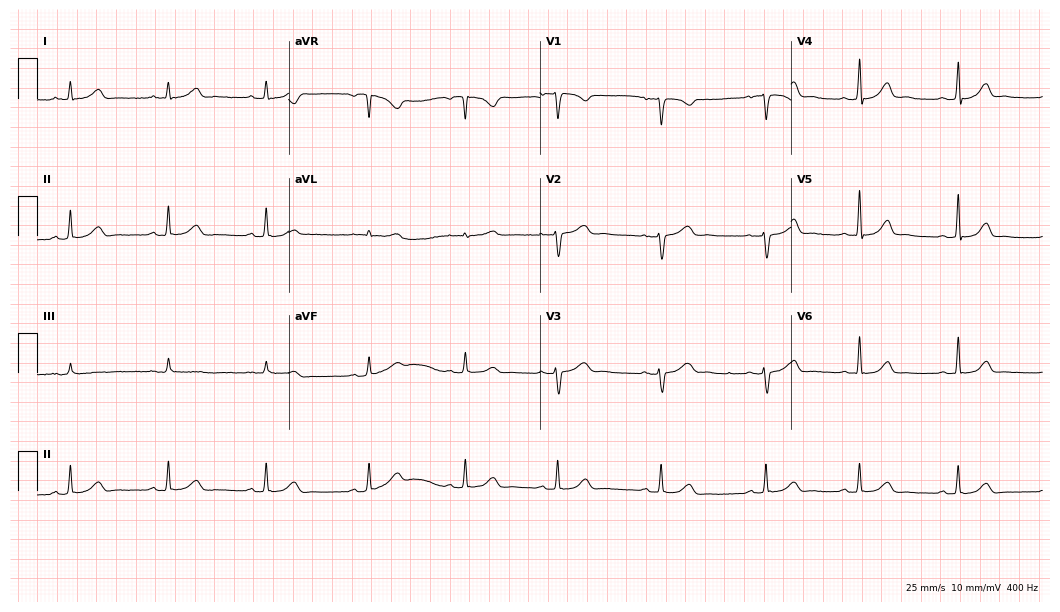
Standard 12-lead ECG recorded from a female, 41 years old (10.2-second recording at 400 Hz). Read as a normal ECG.